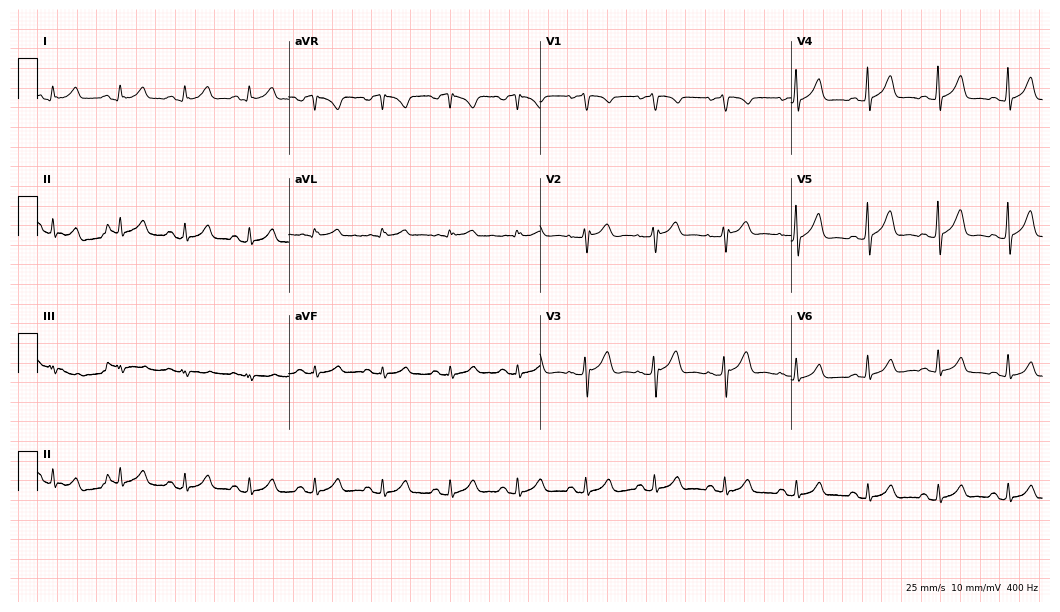
12-lead ECG from a 49-year-old male patient. Recorded interpretation: within normal limits.